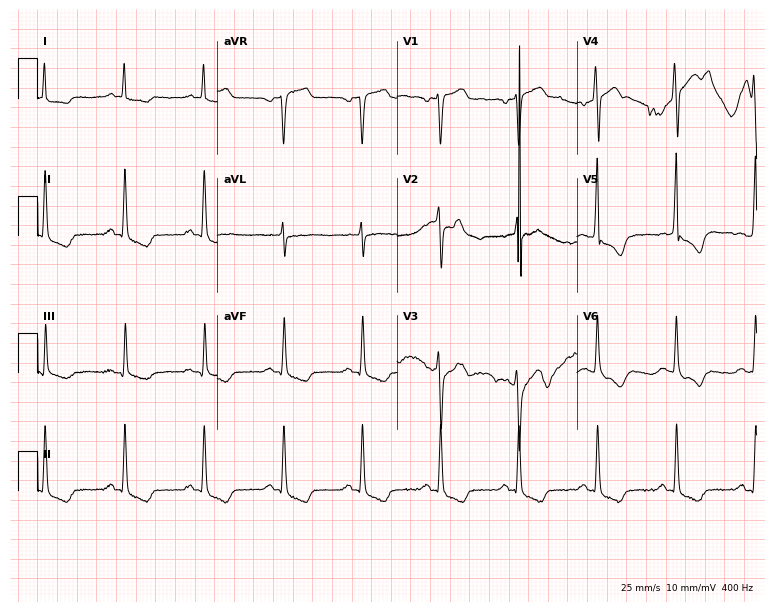
ECG — a 41-year-old male patient. Screened for six findings — first-degree AV block, right bundle branch block, left bundle branch block, sinus bradycardia, atrial fibrillation, sinus tachycardia — none is recorded.